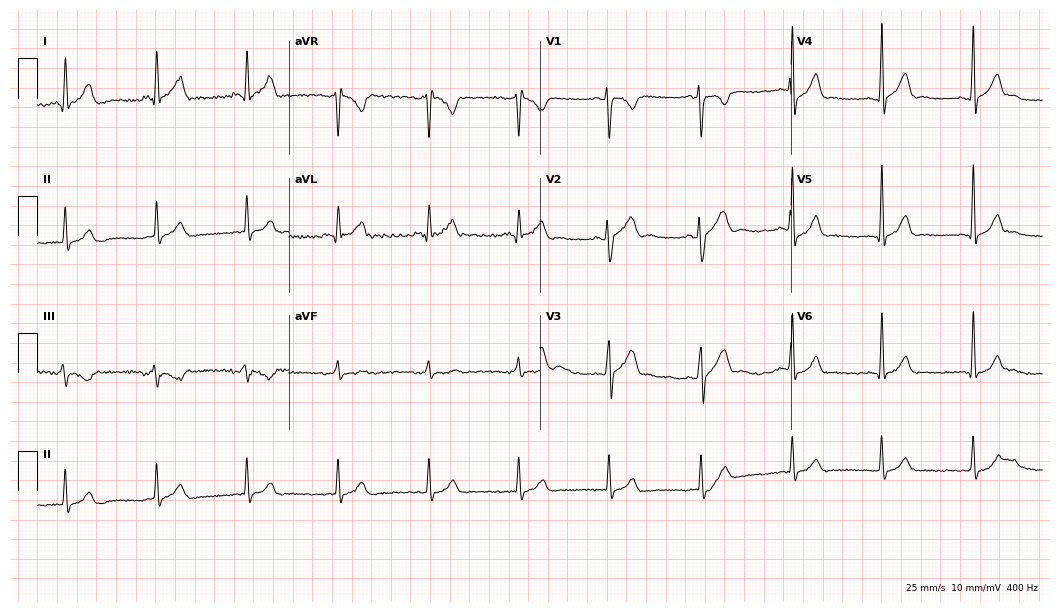
Electrocardiogram (10.2-second recording at 400 Hz), a 27-year-old man. Overall reading on record: normal ECG.